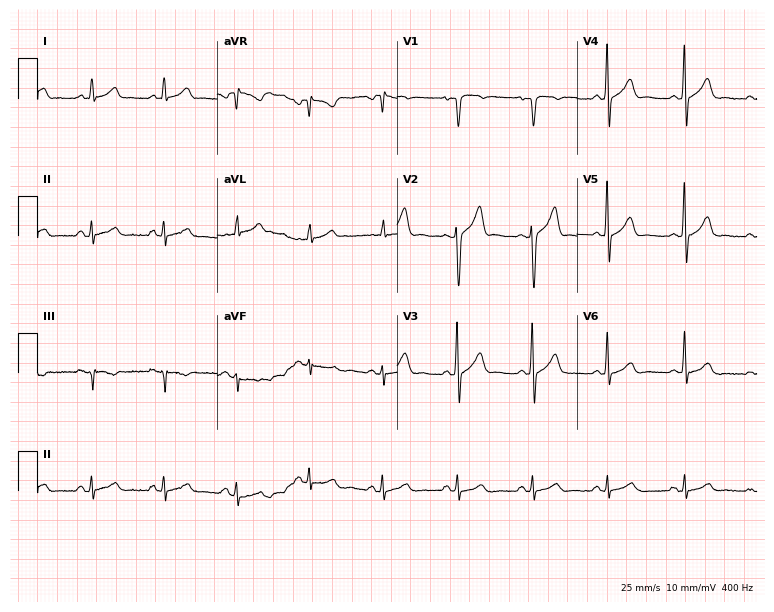
12-lead ECG (7.3-second recording at 400 Hz) from a man, 40 years old. Screened for six findings — first-degree AV block, right bundle branch block, left bundle branch block, sinus bradycardia, atrial fibrillation, sinus tachycardia — none is recorded. Other findings, if any, are not listed.